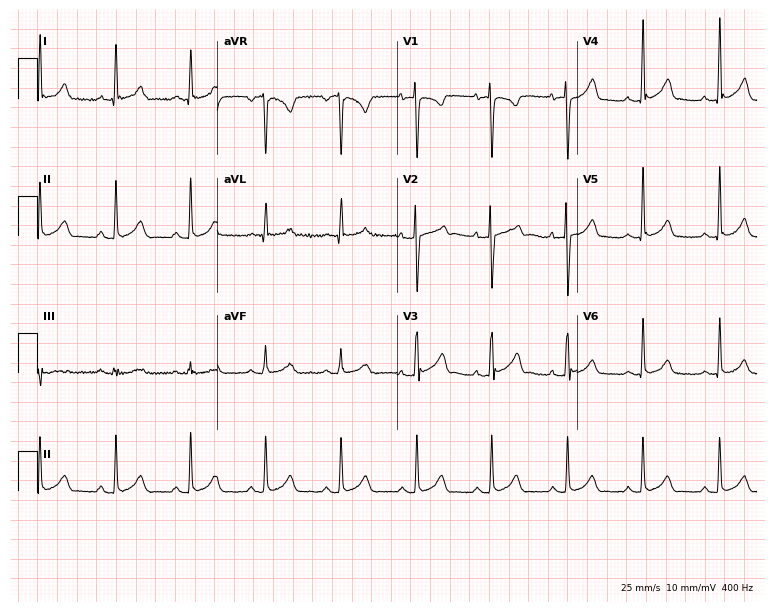
Electrocardiogram, a 28-year-old woman. Of the six screened findings (first-degree AV block, right bundle branch block (RBBB), left bundle branch block (LBBB), sinus bradycardia, atrial fibrillation (AF), sinus tachycardia), none is recorded.